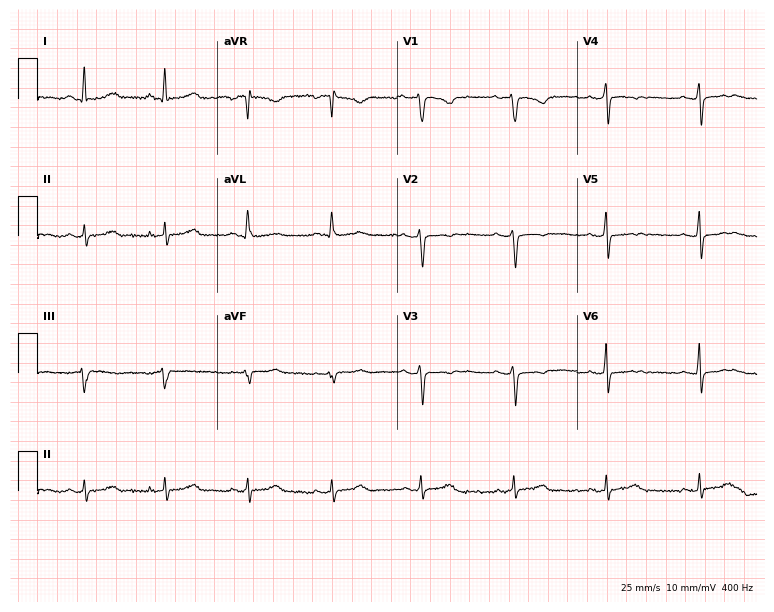
12-lead ECG from a 41-year-old female patient. No first-degree AV block, right bundle branch block, left bundle branch block, sinus bradycardia, atrial fibrillation or sinus tachycardia recorded for this tracing.